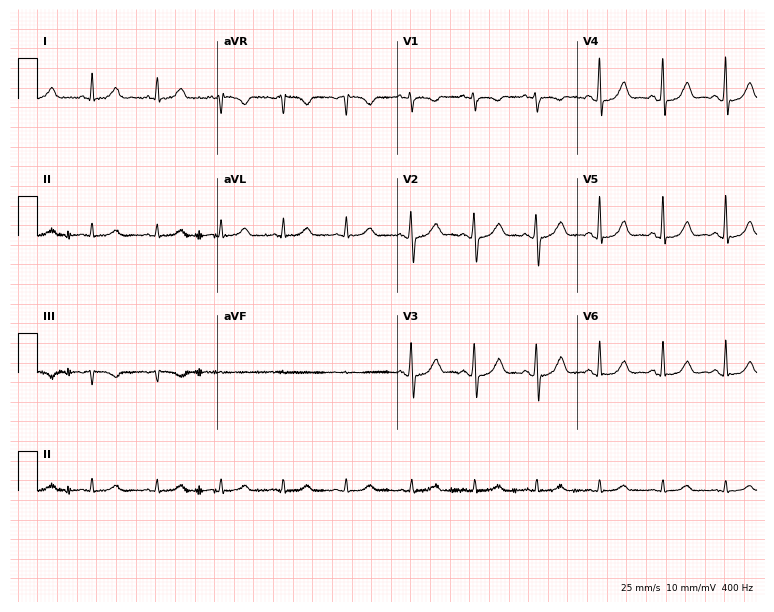
12-lead ECG (7.3-second recording at 400 Hz) from a 60-year-old female patient. Screened for six findings — first-degree AV block, right bundle branch block (RBBB), left bundle branch block (LBBB), sinus bradycardia, atrial fibrillation (AF), sinus tachycardia — none is recorded.